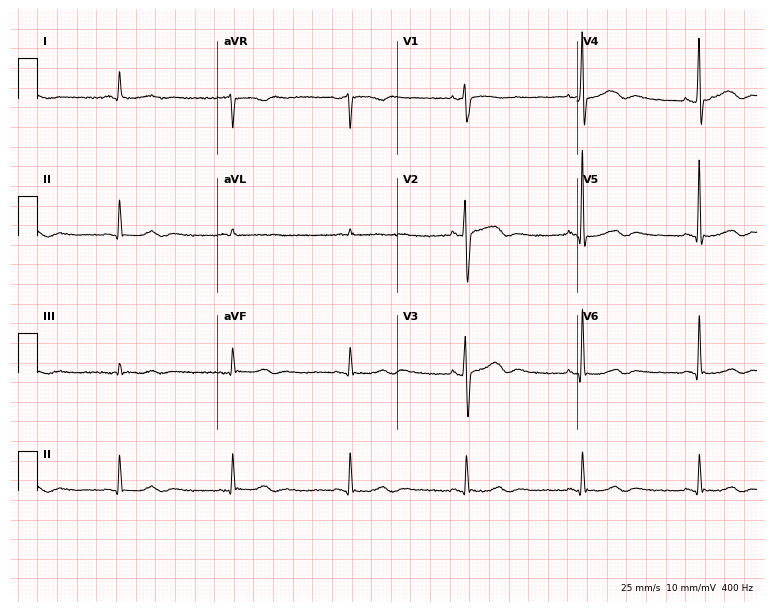
12-lead ECG from a male, 75 years old (7.3-second recording at 400 Hz). Shows sinus bradycardia (a sinus rate of 50 beats per minute or less).